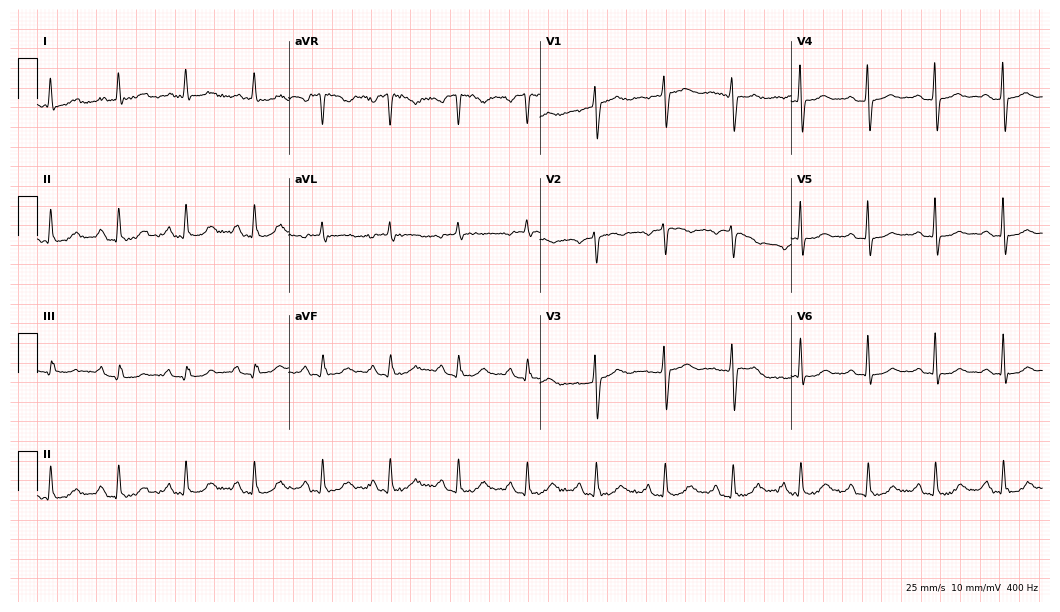
Resting 12-lead electrocardiogram (10.2-second recording at 400 Hz). Patient: a female, 72 years old. Read as a normal ECG.